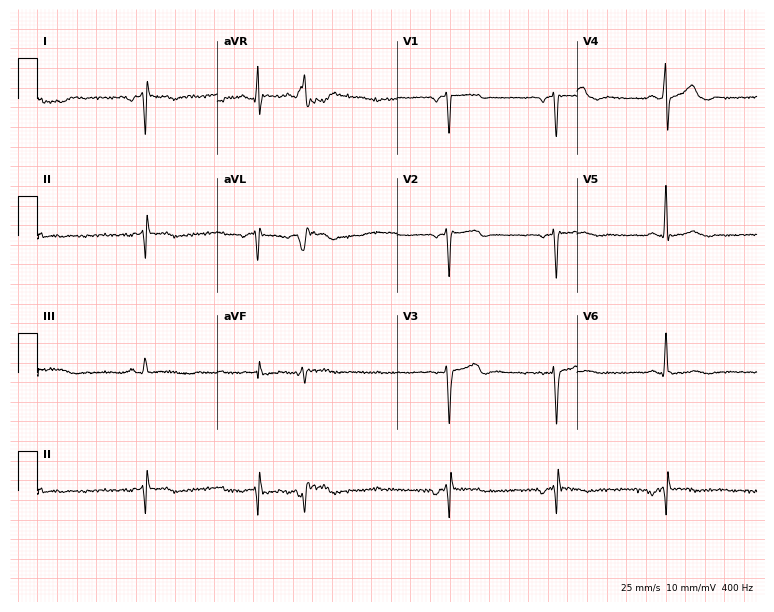
ECG (7.3-second recording at 400 Hz) — a 56-year-old male. Screened for six findings — first-degree AV block, right bundle branch block (RBBB), left bundle branch block (LBBB), sinus bradycardia, atrial fibrillation (AF), sinus tachycardia — none is recorded.